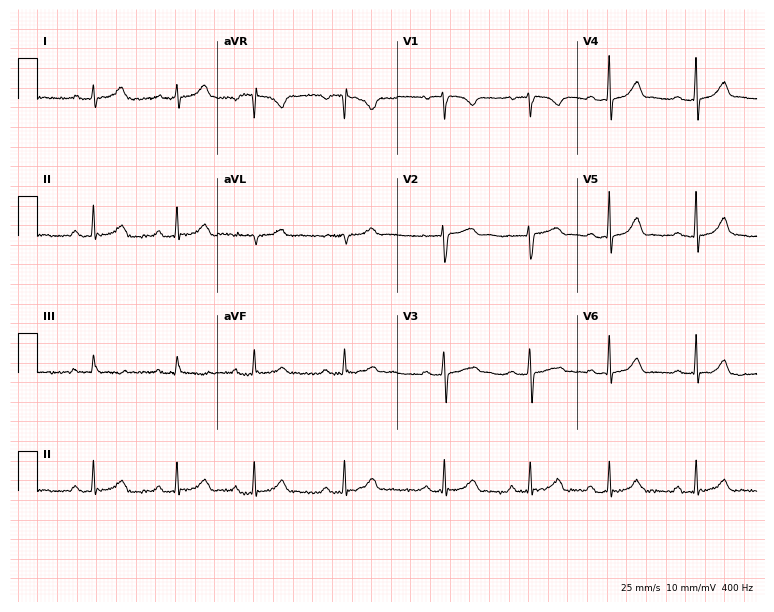
ECG (7.3-second recording at 400 Hz) — a female, 22 years old. Labelled as a normal ECG.